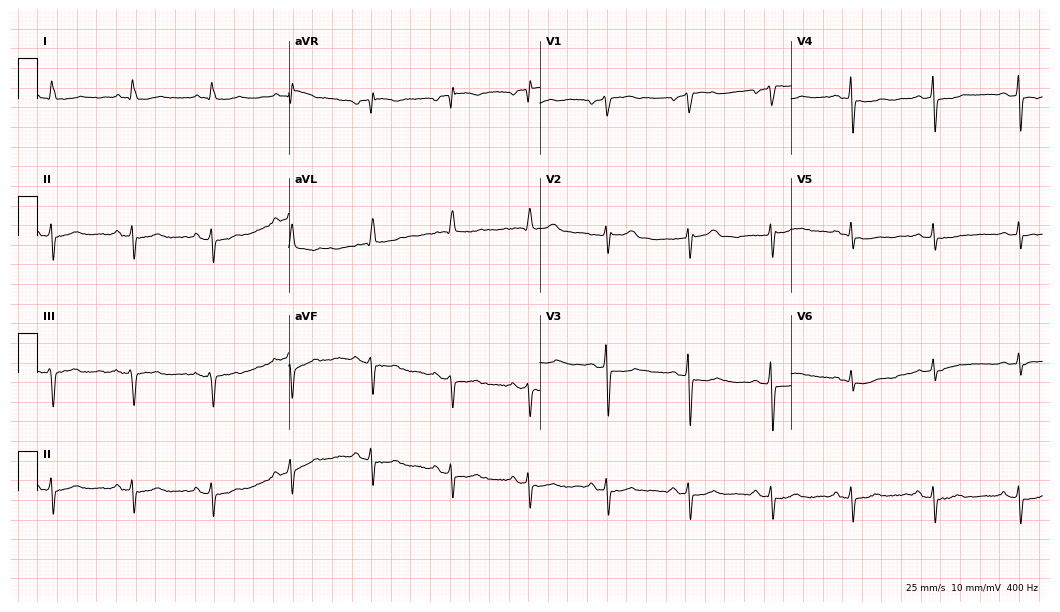
ECG (10.2-second recording at 400 Hz) — a male, 62 years old. Screened for six findings — first-degree AV block, right bundle branch block, left bundle branch block, sinus bradycardia, atrial fibrillation, sinus tachycardia — none is recorded.